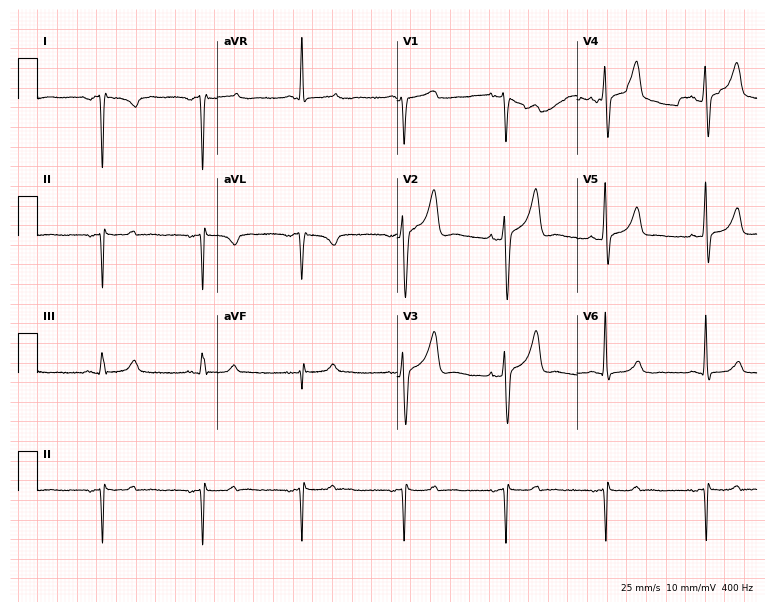
Resting 12-lead electrocardiogram. Patient: a male, 61 years old. None of these six findings is recorded: first-degree AV block, right bundle branch block, left bundle branch block, sinus bradycardia, atrial fibrillation, sinus tachycardia. Other findings, if any, are not listed.